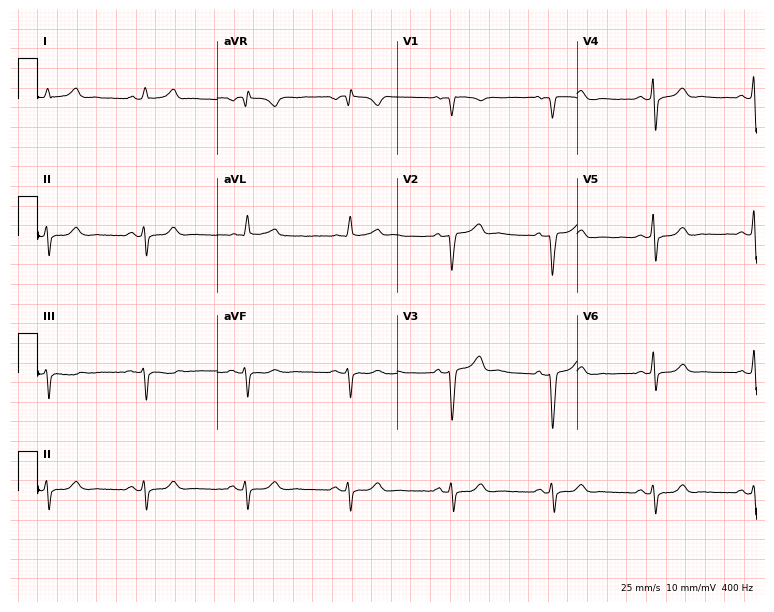
12-lead ECG from a woman, 55 years old. Screened for six findings — first-degree AV block, right bundle branch block, left bundle branch block, sinus bradycardia, atrial fibrillation, sinus tachycardia — none is recorded. Only these six findings were labelled.